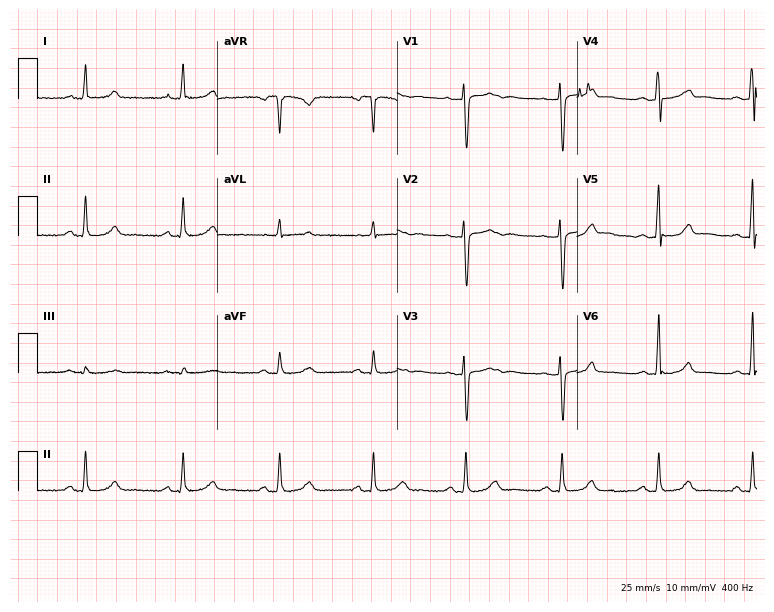
Standard 12-lead ECG recorded from a female patient, 47 years old (7.3-second recording at 400 Hz). Read as a normal ECG.